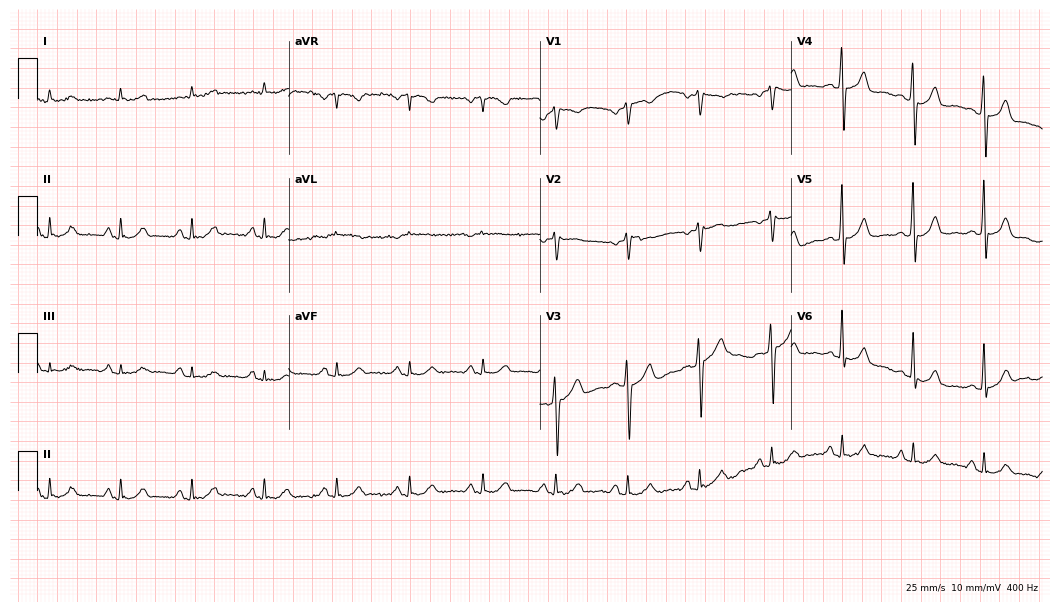
Standard 12-lead ECG recorded from a male, 78 years old (10.2-second recording at 400 Hz). Read as a normal ECG.